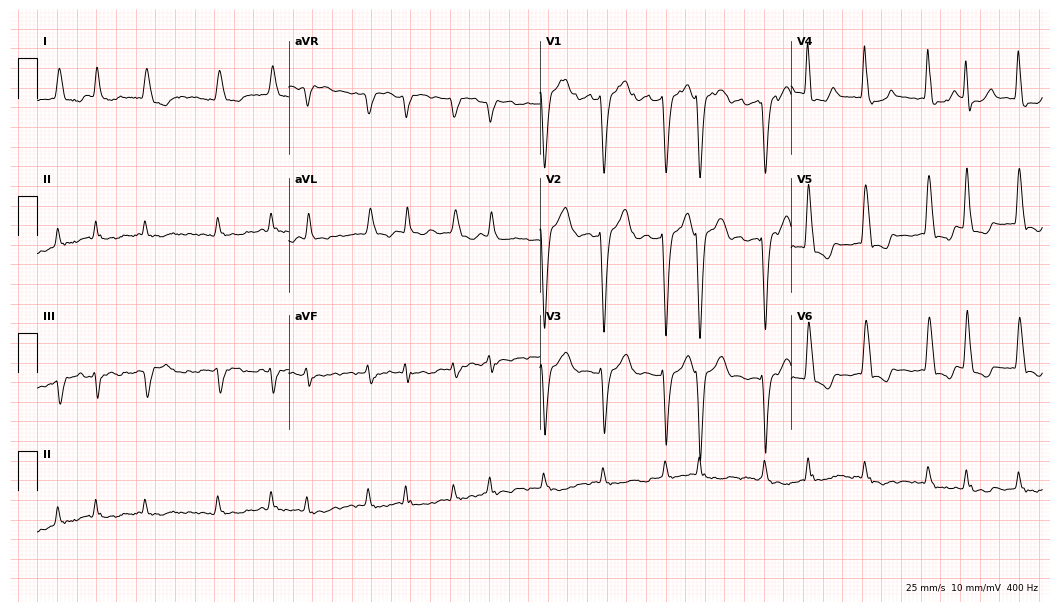
Electrocardiogram (10.2-second recording at 400 Hz), a female, 77 years old. Interpretation includes atrial fibrillation.